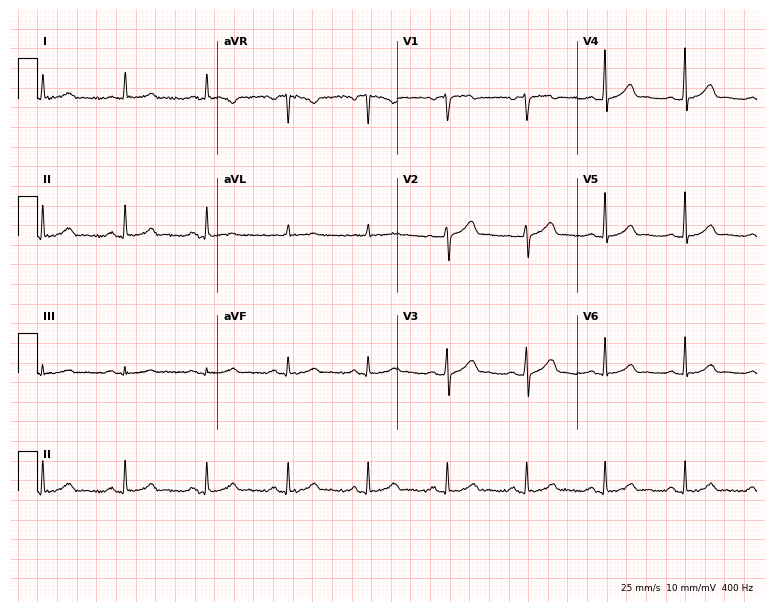
12-lead ECG (7.3-second recording at 400 Hz) from a male patient, 55 years old. Labelled as a normal ECG.